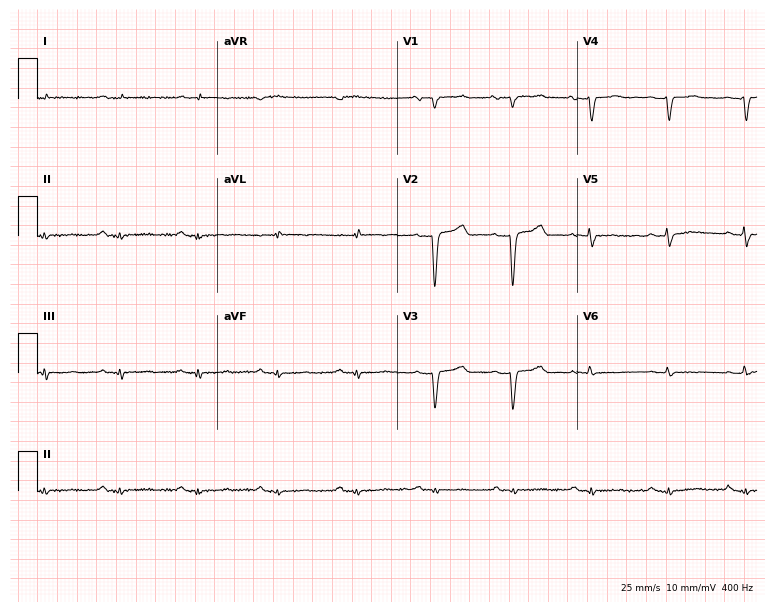
Electrocardiogram (7.3-second recording at 400 Hz), a 51-year-old man. Of the six screened findings (first-degree AV block, right bundle branch block (RBBB), left bundle branch block (LBBB), sinus bradycardia, atrial fibrillation (AF), sinus tachycardia), none is recorded. Other findings, if any, are not listed.